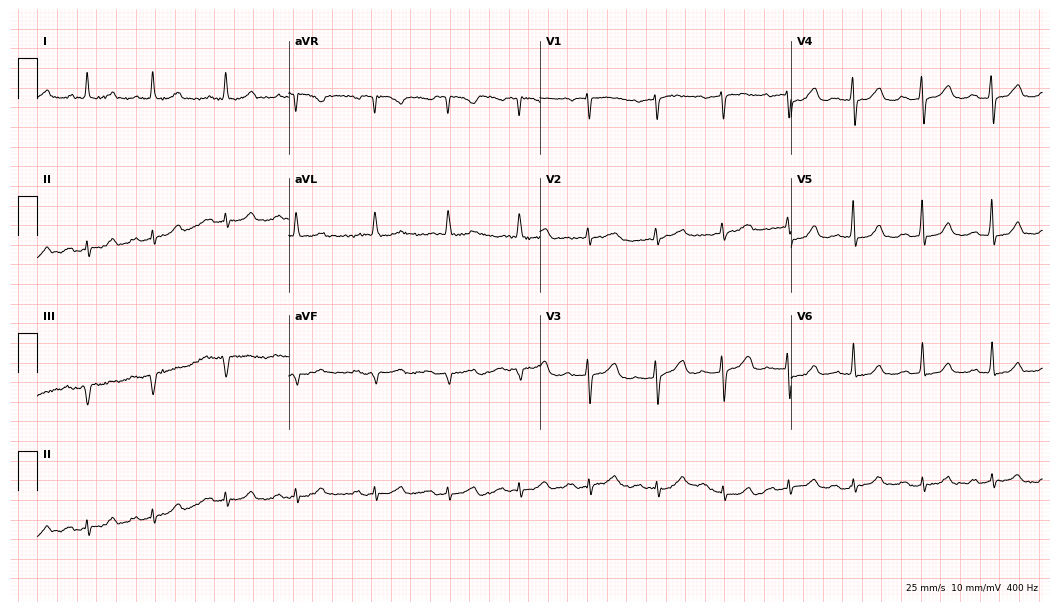
Standard 12-lead ECG recorded from an 82-year-old female patient (10.2-second recording at 400 Hz). The tracing shows first-degree AV block.